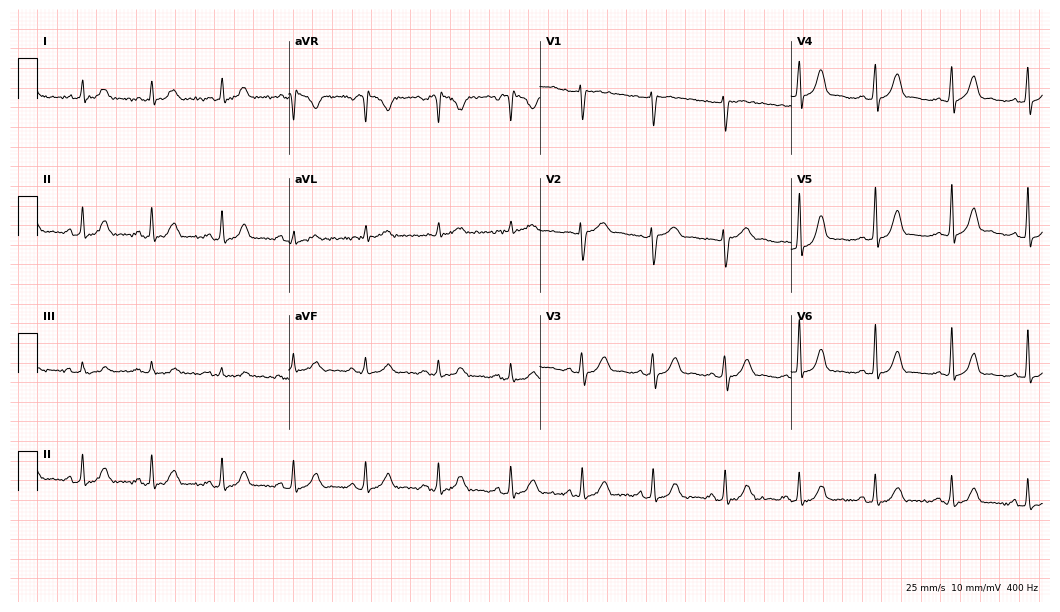
Standard 12-lead ECG recorded from a 32-year-old woman (10.2-second recording at 400 Hz). Read as a normal ECG.